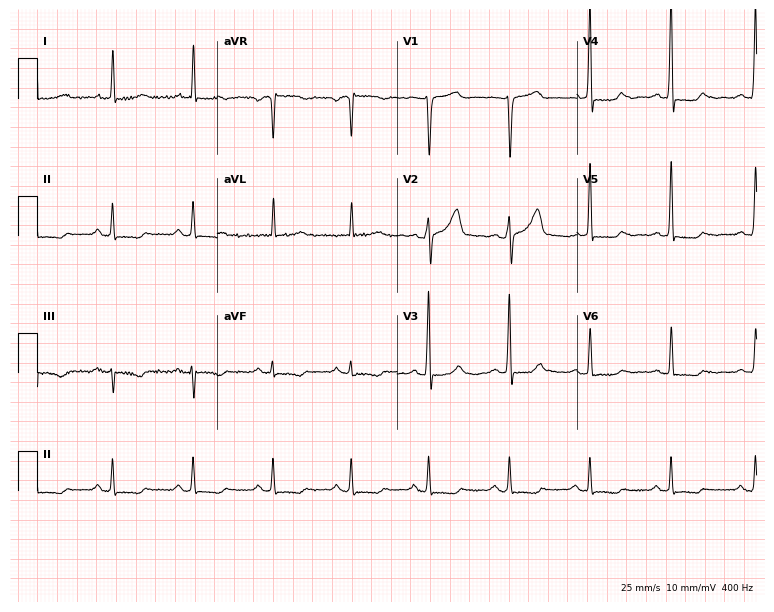
ECG (7.3-second recording at 400 Hz) — a 54-year-old woman. Screened for six findings — first-degree AV block, right bundle branch block (RBBB), left bundle branch block (LBBB), sinus bradycardia, atrial fibrillation (AF), sinus tachycardia — none is recorded. Other findings, if any, are not listed.